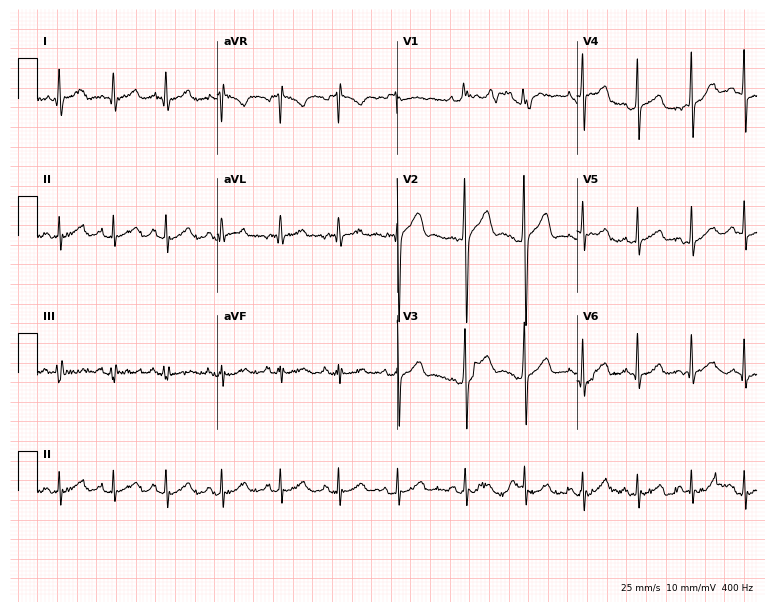
Electrocardiogram, a 19-year-old male. Overall reading on record: normal ECG.